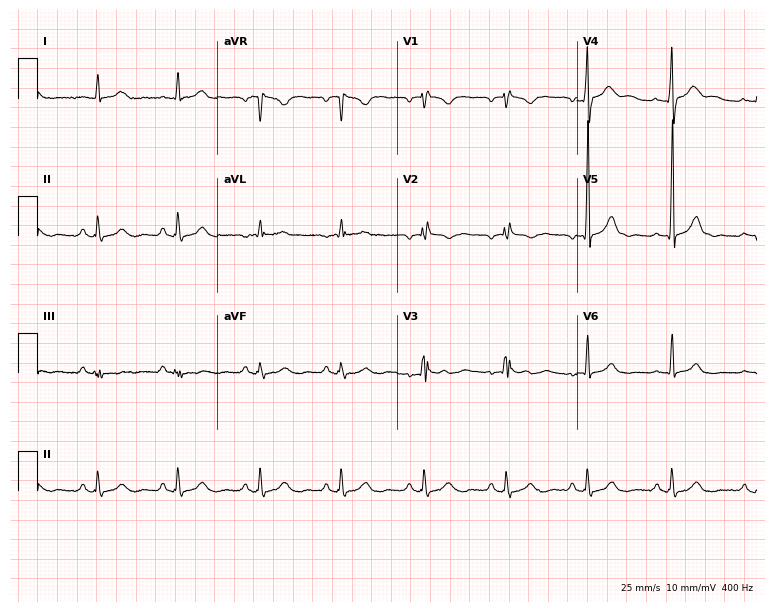
ECG (7.3-second recording at 400 Hz) — a 41-year-old male patient. Screened for six findings — first-degree AV block, right bundle branch block, left bundle branch block, sinus bradycardia, atrial fibrillation, sinus tachycardia — none is recorded.